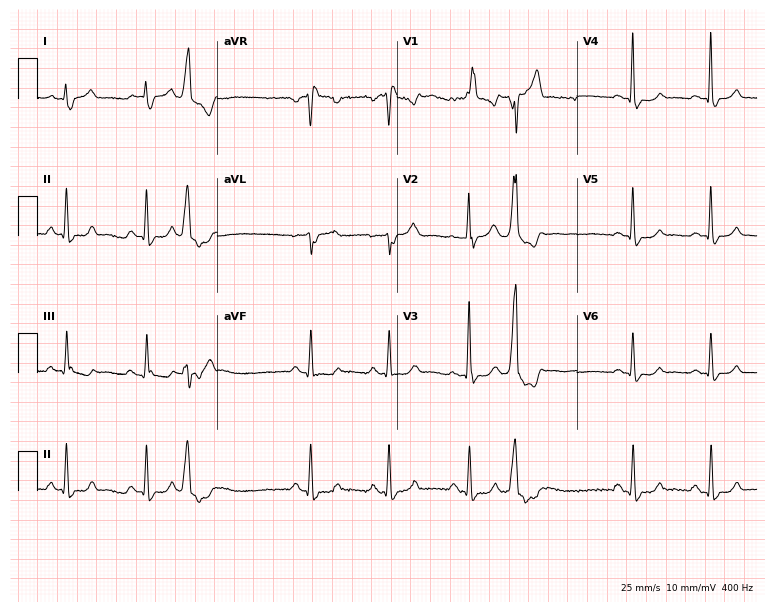
Electrocardiogram (7.3-second recording at 400 Hz), a male, 80 years old. Interpretation includes right bundle branch block.